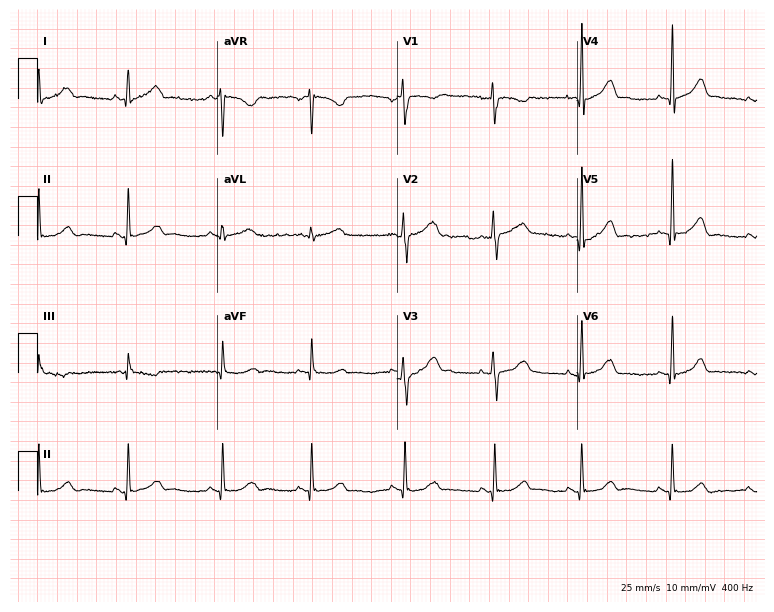
12-lead ECG from a female, 33 years old. Labelled as a normal ECG.